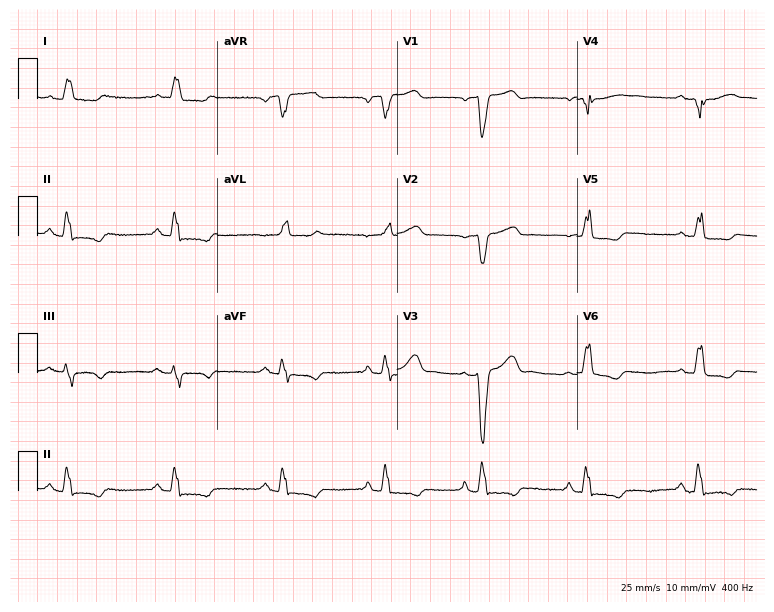
Standard 12-lead ECG recorded from a female patient, 81 years old. The tracing shows left bundle branch block.